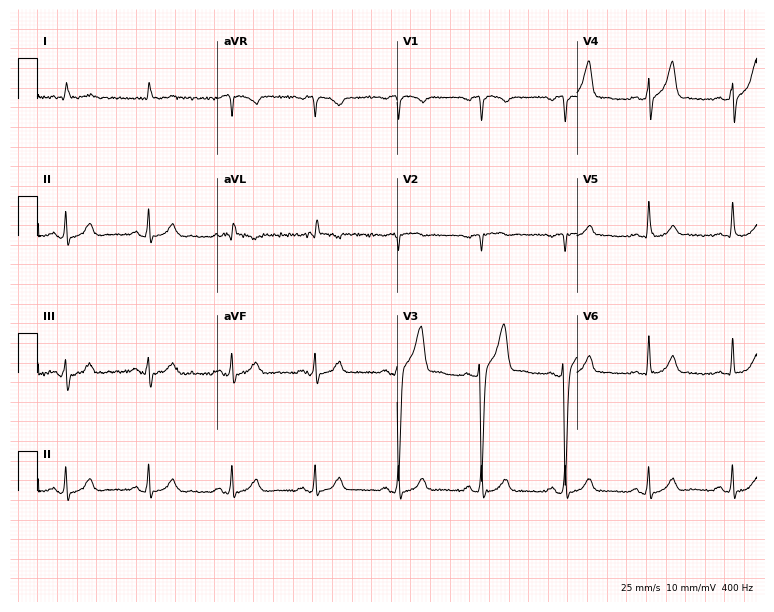
Standard 12-lead ECG recorded from a 68-year-old male patient (7.3-second recording at 400 Hz). None of these six findings is recorded: first-degree AV block, right bundle branch block (RBBB), left bundle branch block (LBBB), sinus bradycardia, atrial fibrillation (AF), sinus tachycardia. Only these six findings were labelled.